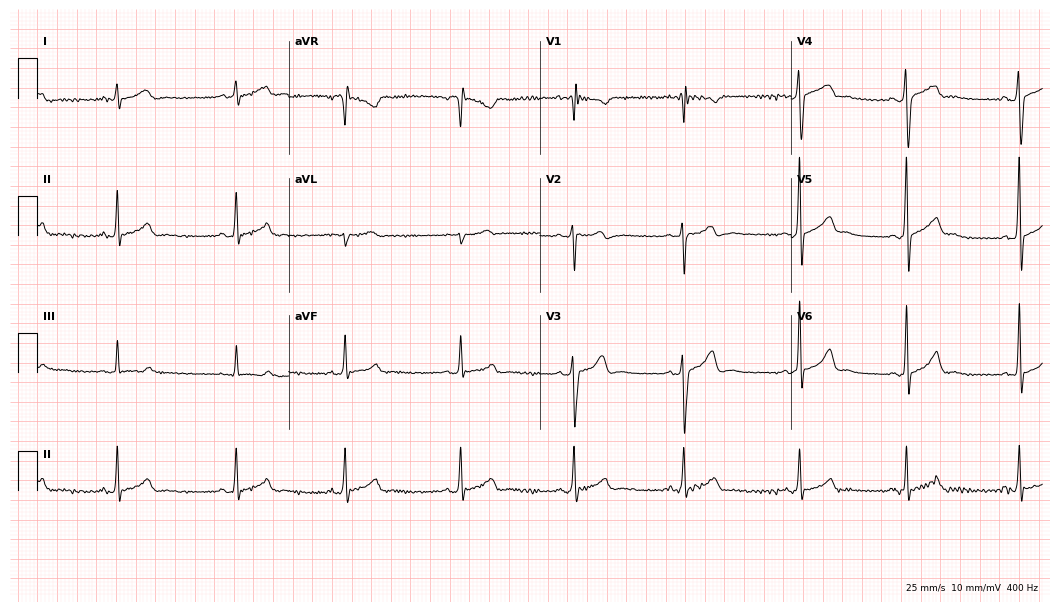
Standard 12-lead ECG recorded from an 18-year-old male patient (10.2-second recording at 400 Hz). Read as a normal ECG.